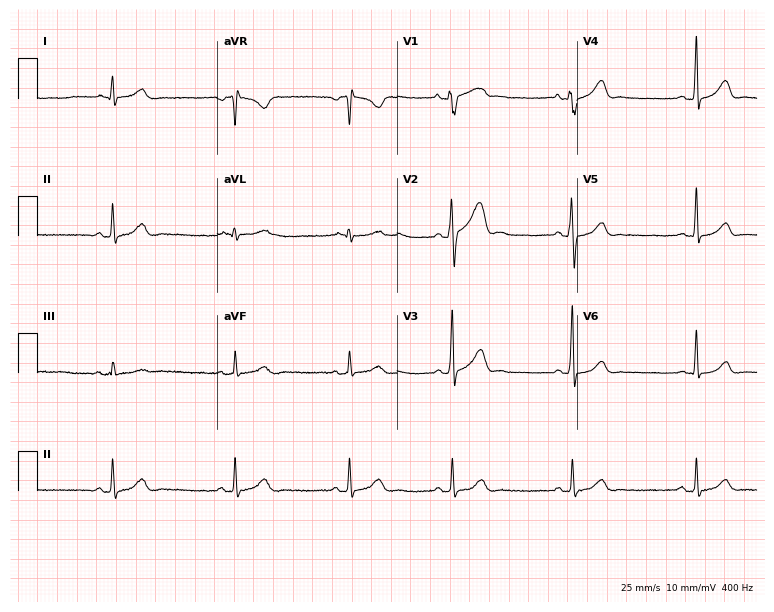
Resting 12-lead electrocardiogram (7.3-second recording at 400 Hz). Patient: a 30-year-old man. Read as a normal ECG.